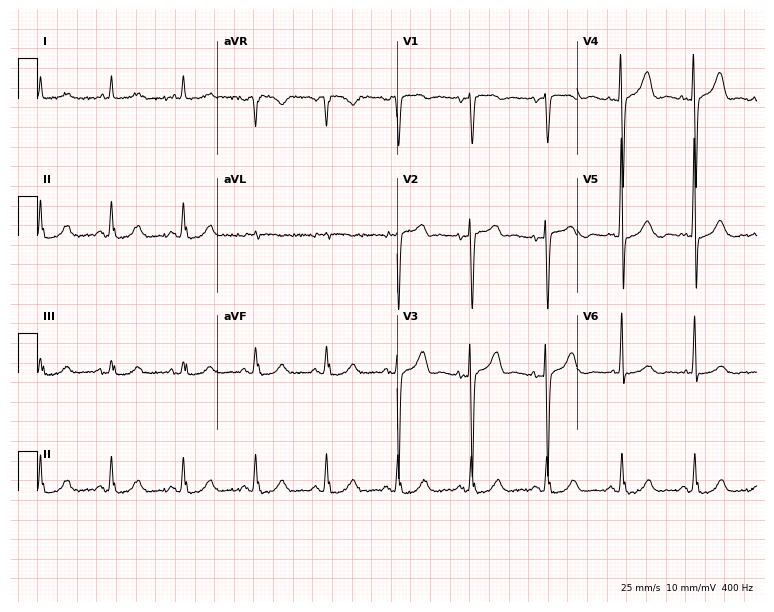
12-lead ECG from a female patient, 85 years old (7.3-second recording at 400 Hz). Recorded interpretation: within normal limits.